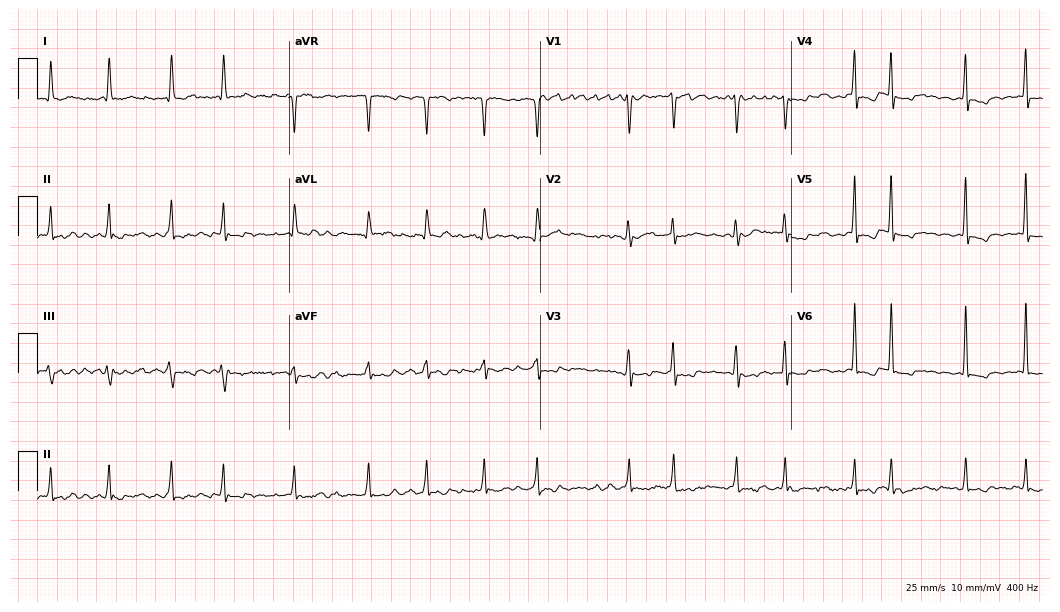
12-lead ECG from a 73-year-old female. Findings include atrial fibrillation.